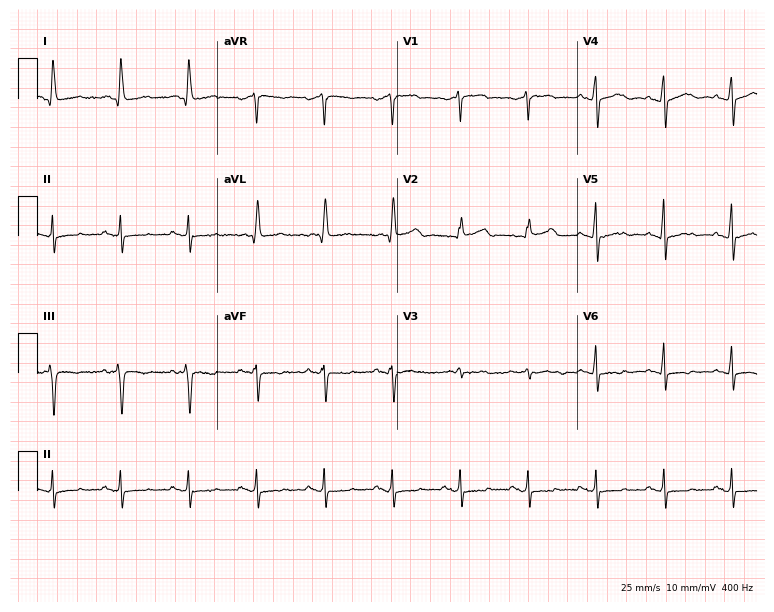
12-lead ECG from a 77-year-old woman (7.3-second recording at 400 Hz). No first-degree AV block, right bundle branch block, left bundle branch block, sinus bradycardia, atrial fibrillation or sinus tachycardia recorded for this tracing.